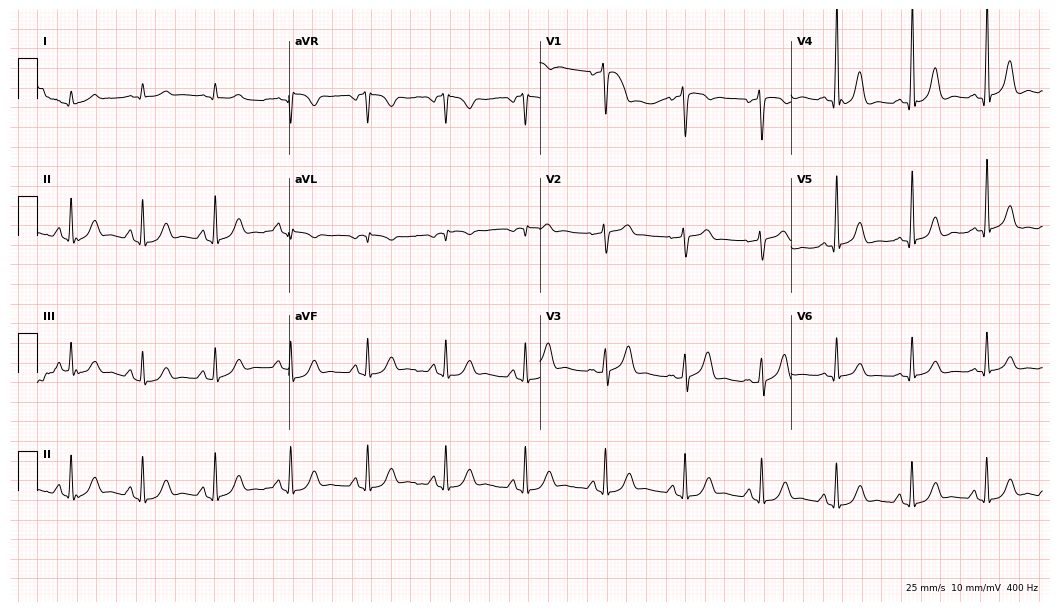
12-lead ECG from a male patient, 54 years old (10.2-second recording at 400 Hz). Recorded interpretation: within normal limits.